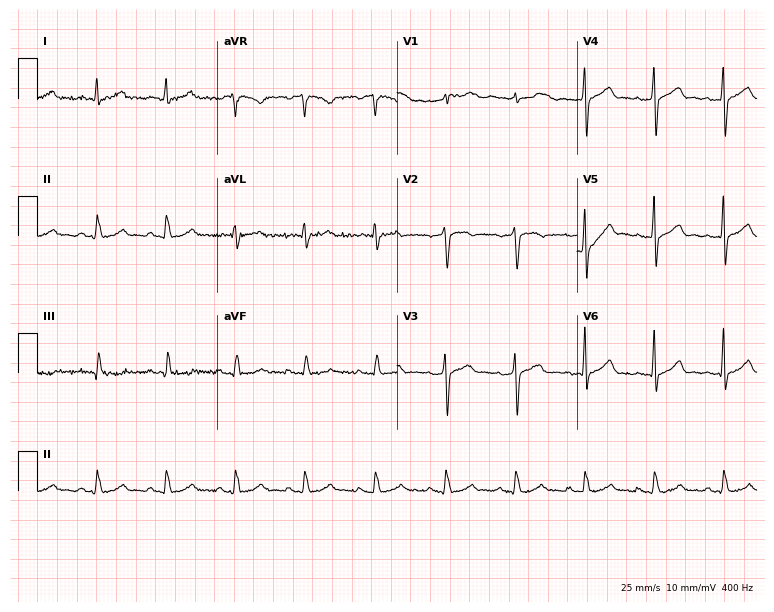
ECG — a male patient, 47 years old. Labelled as a normal ECG.